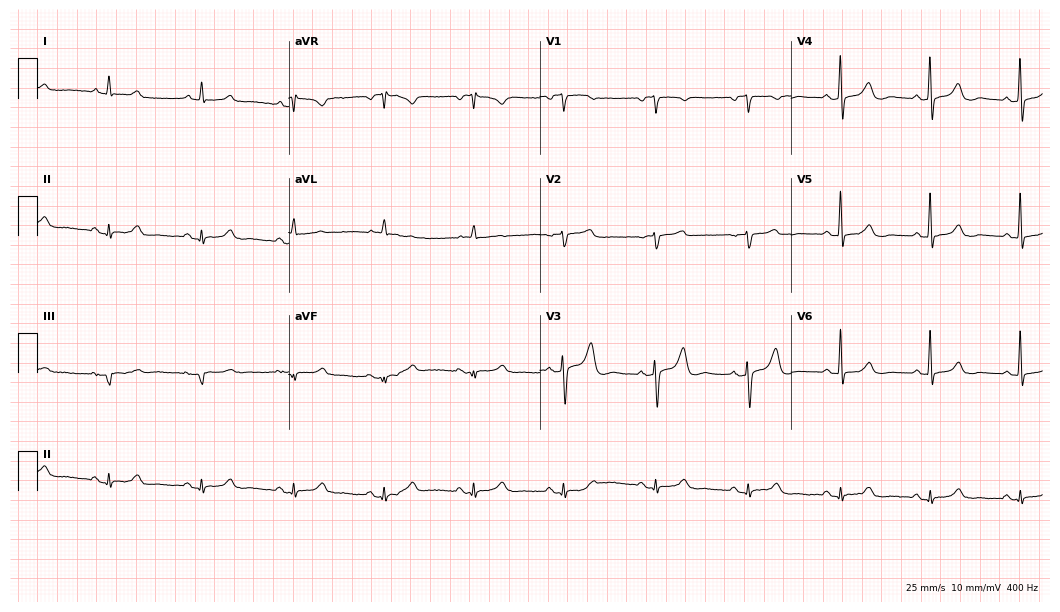
12-lead ECG from a male patient, 62 years old. No first-degree AV block, right bundle branch block (RBBB), left bundle branch block (LBBB), sinus bradycardia, atrial fibrillation (AF) or sinus tachycardia recorded for this tracing.